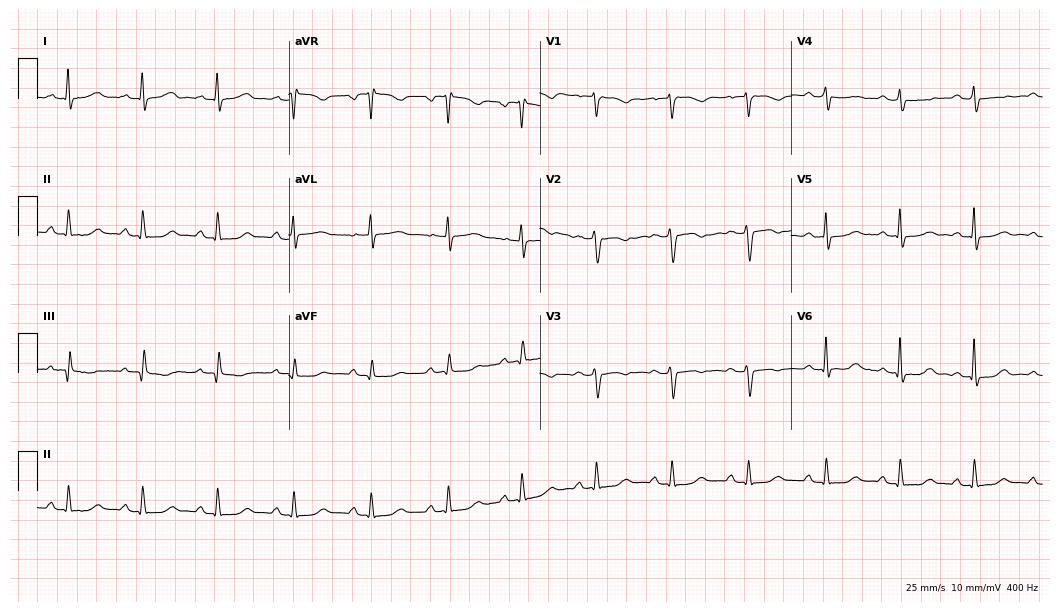
12-lead ECG from a female patient, 42 years old. Recorded interpretation: within normal limits.